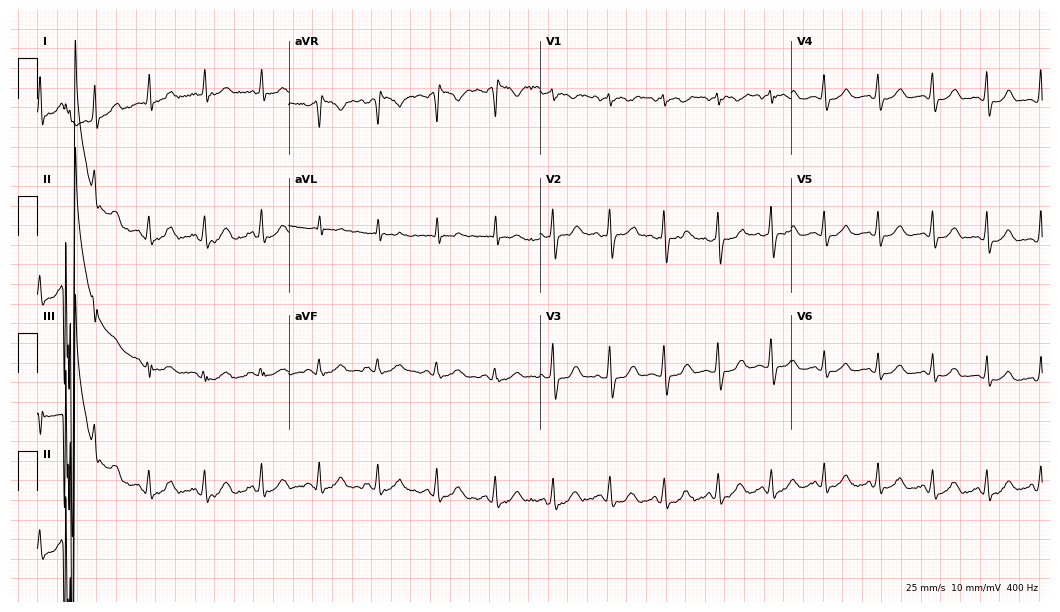
12-lead ECG (10.2-second recording at 400 Hz) from a woman, 34 years old. Findings include sinus tachycardia (a sinus rate of 100 beats per minute or more).